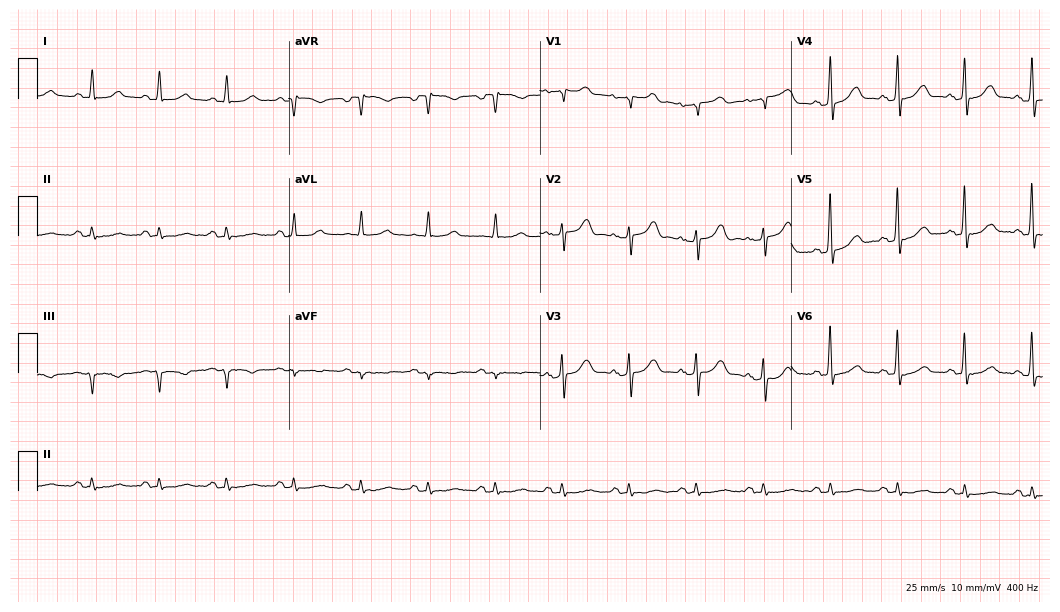
Resting 12-lead electrocardiogram (10.2-second recording at 400 Hz). Patient: a male, 79 years old. Read as a normal ECG.